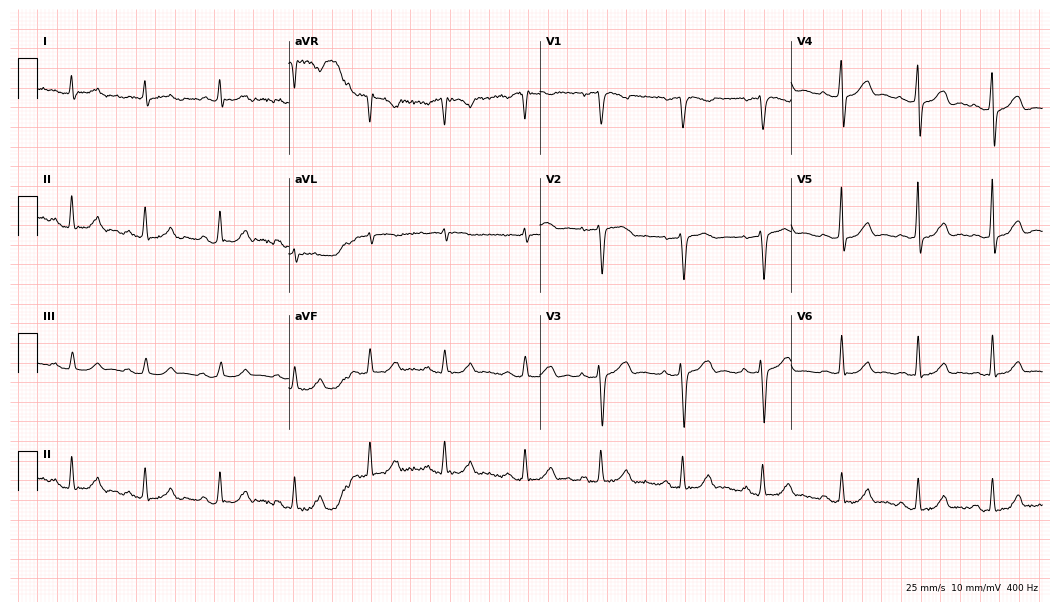
Standard 12-lead ECG recorded from a male patient, 69 years old (10.2-second recording at 400 Hz). Read as a normal ECG.